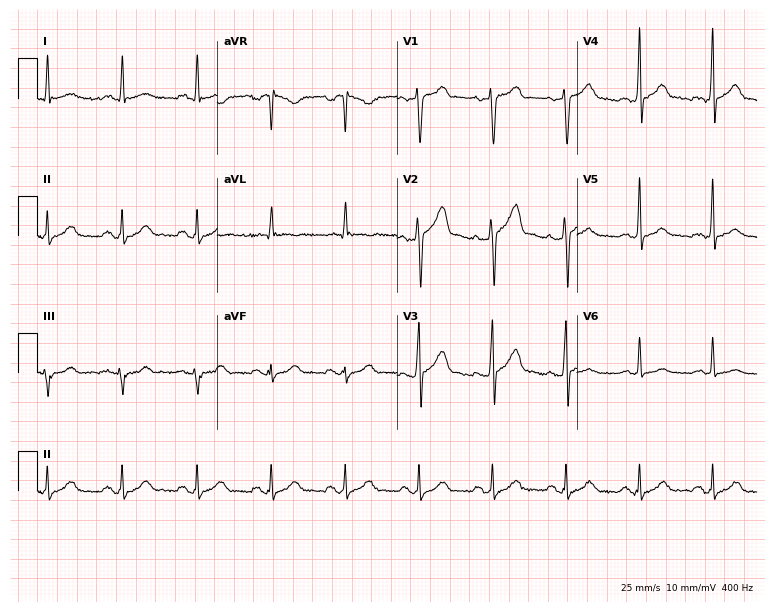
Standard 12-lead ECG recorded from a 59-year-old male (7.3-second recording at 400 Hz). Read as a normal ECG.